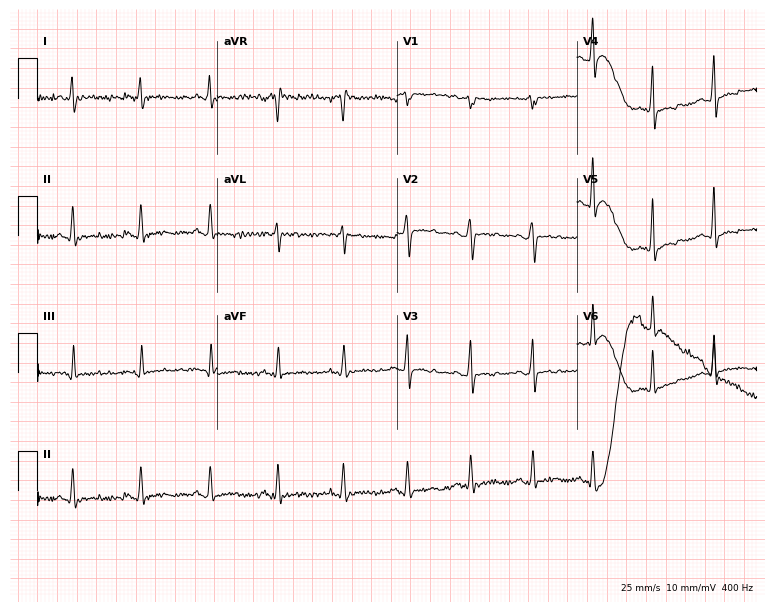
Resting 12-lead electrocardiogram. Patient: a man, 32 years old. None of these six findings is recorded: first-degree AV block, right bundle branch block (RBBB), left bundle branch block (LBBB), sinus bradycardia, atrial fibrillation (AF), sinus tachycardia.